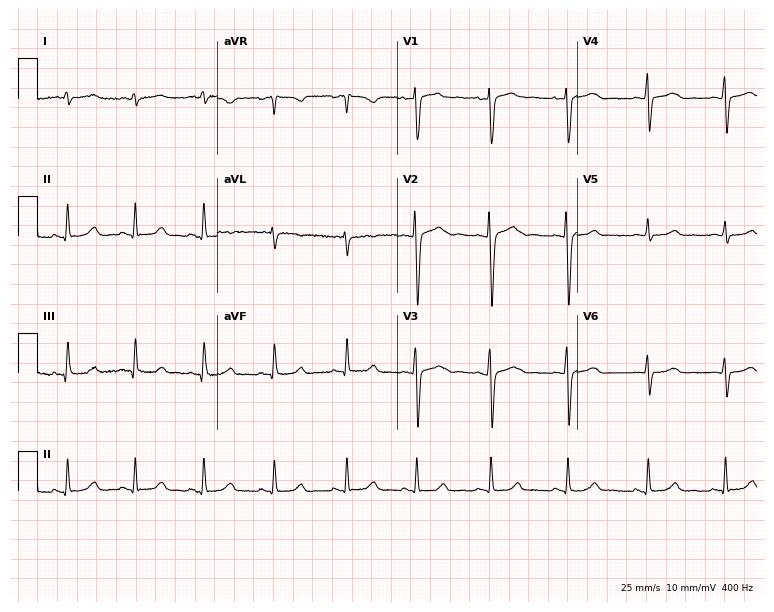
12-lead ECG from a 22-year-old woman (7.3-second recording at 400 Hz). Recorded interpretation: within normal limits.